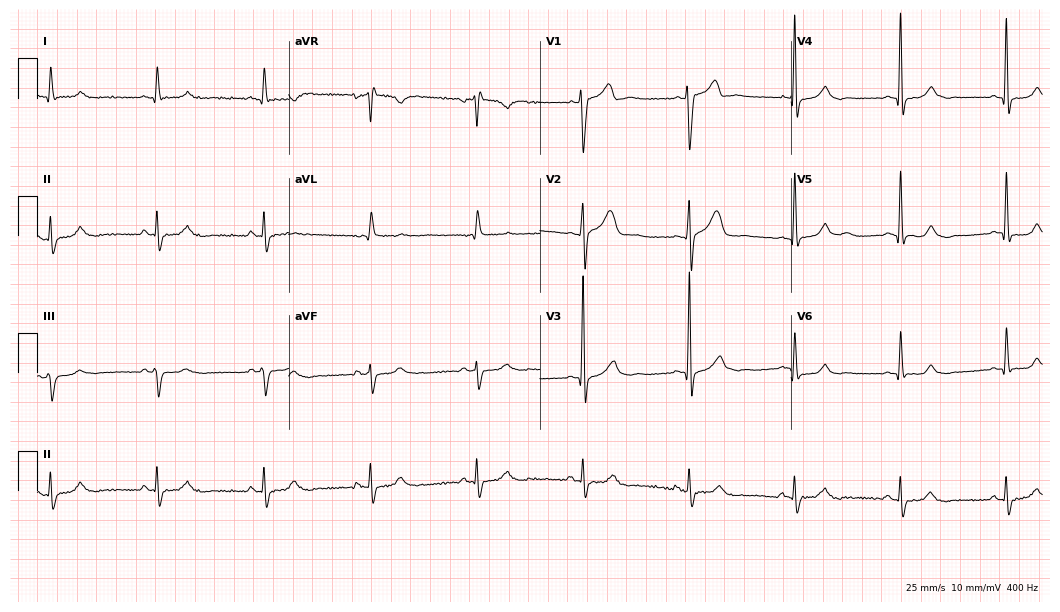
Electrocardiogram, a male patient, 64 years old. Of the six screened findings (first-degree AV block, right bundle branch block, left bundle branch block, sinus bradycardia, atrial fibrillation, sinus tachycardia), none is recorded. Only these six findings were labelled.